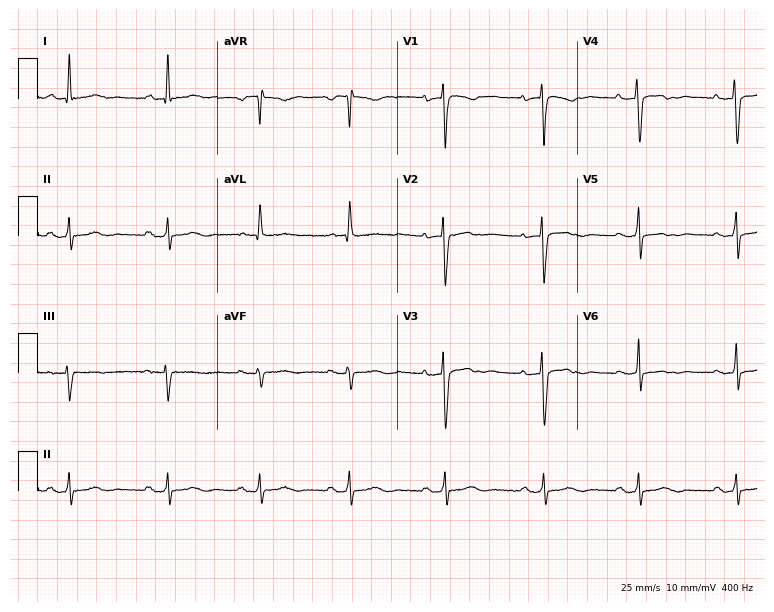
12-lead ECG from a 39-year-old woman. No first-degree AV block, right bundle branch block (RBBB), left bundle branch block (LBBB), sinus bradycardia, atrial fibrillation (AF) or sinus tachycardia recorded for this tracing.